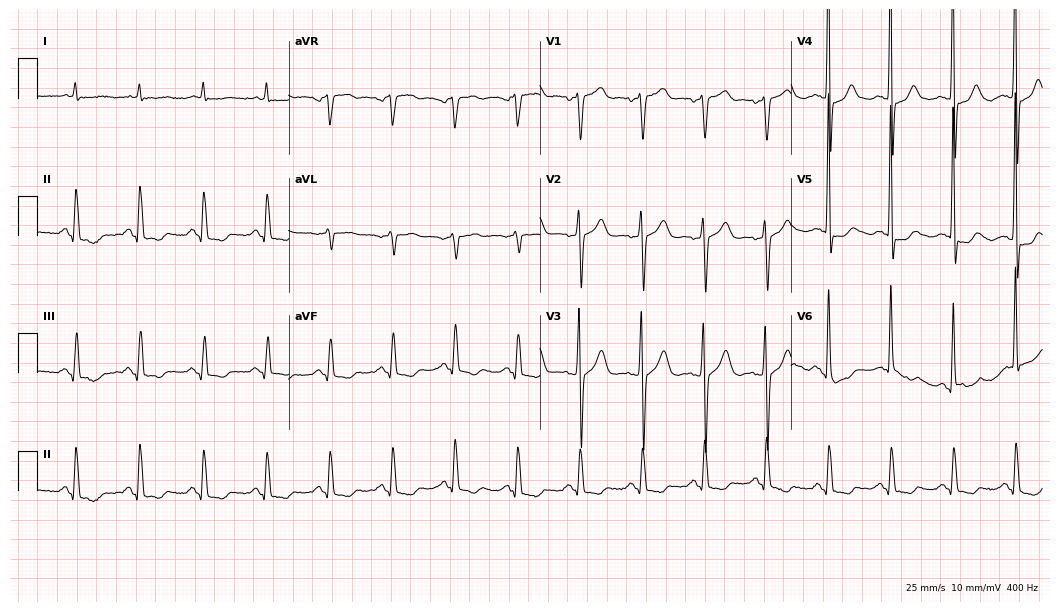
ECG — a man, 78 years old. Labelled as a normal ECG.